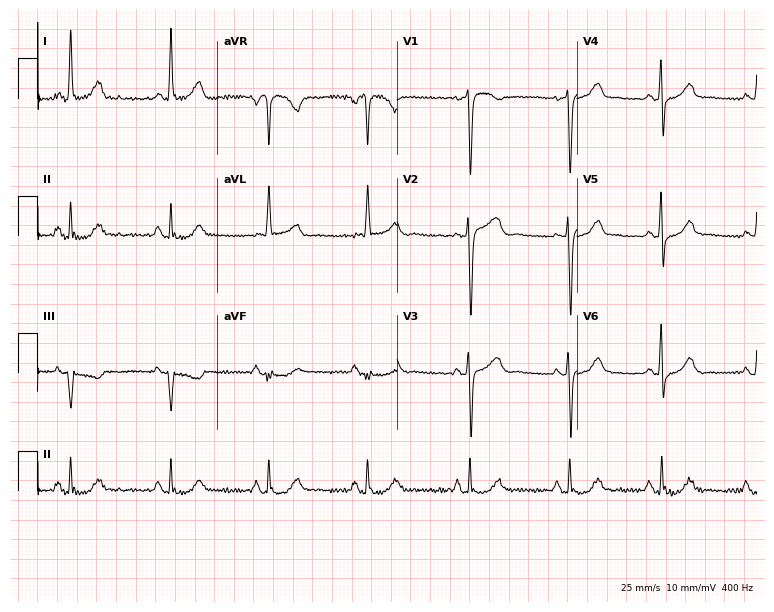
Standard 12-lead ECG recorded from a 56-year-old female patient. None of these six findings is recorded: first-degree AV block, right bundle branch block, left bundle branch block, sinus bradycardia, atrial fibrillation, sinus tachycardia.